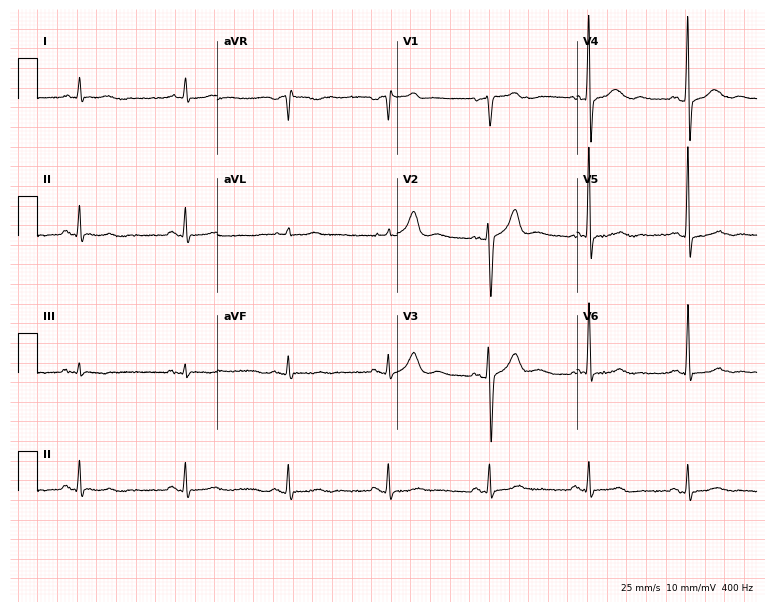
Standard 12-lead ECG recorded from a 59-year-old male (7.3-second recording at 400 Hz). Read as a normal ECG.